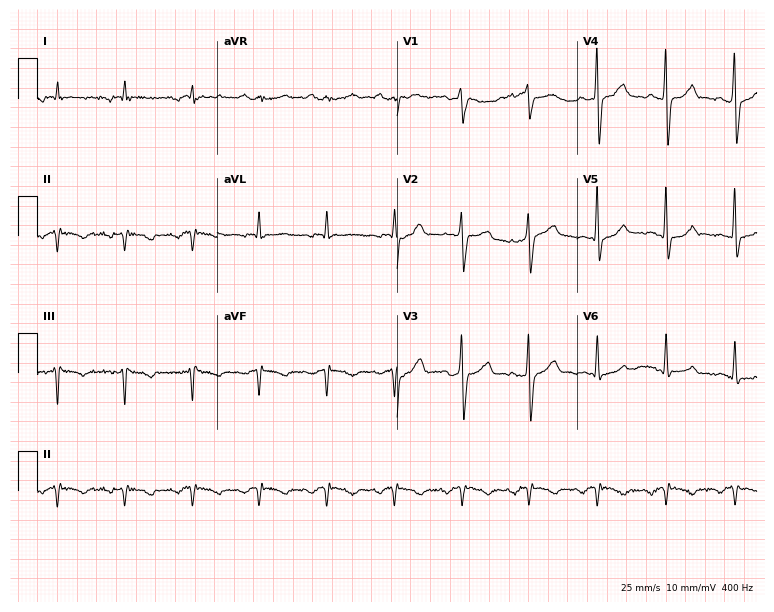
12-lead ECG from a man, 75 years old. Screened for six findings — first-degree AV block, right bundle branch block (RBBB), left bundle branch block (LBBB), sinus bradycardia, atrial fibrillation (AF), sinus tachycardia — none is recorded. Findings outside these six are not listed.